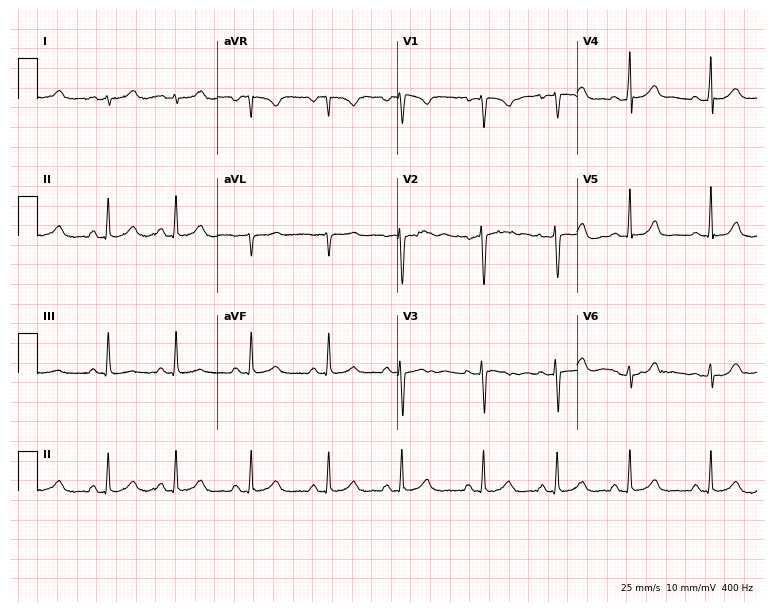
Electrocardiogram (7.3-second recording at 400 Hz), an 18-year-old woman. Overall reading on record: normal ECG.